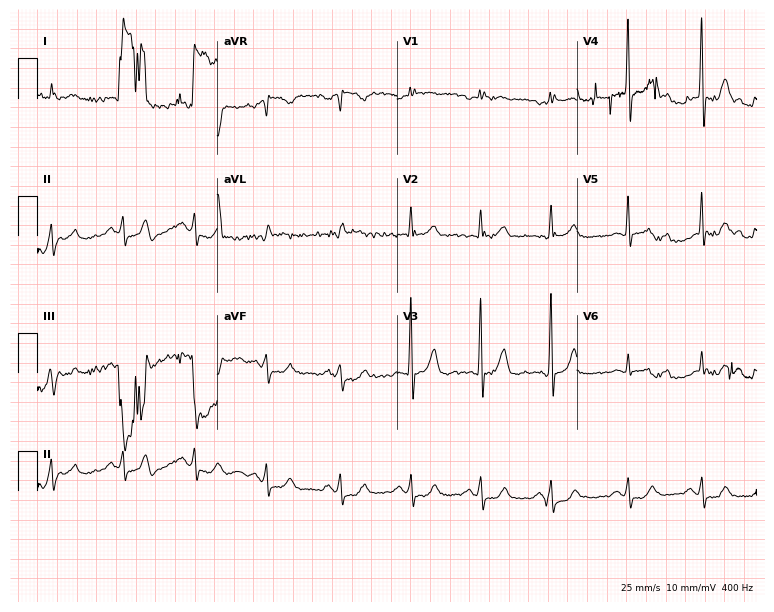
Standard 12-lead ECG recorded from a 70-year-old male. None of these six findings is recorded: first-degree AV block, right bundle branch block (RBBB), left bundle branch block (LBBB), sinus bradycardia, atrial fibrillation (AF), sinus tachycardia. Only these six findings were labelled.